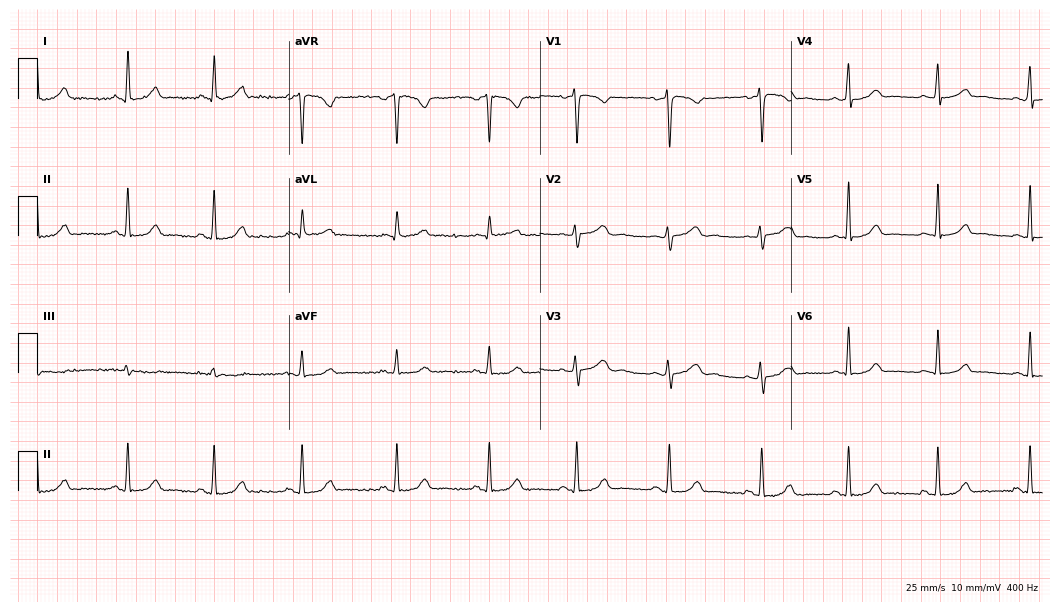
Standard 12-lead ECG recorded from a 36-year-old female (10.2-second recording at 400 Hz). Read as a normal ECG.